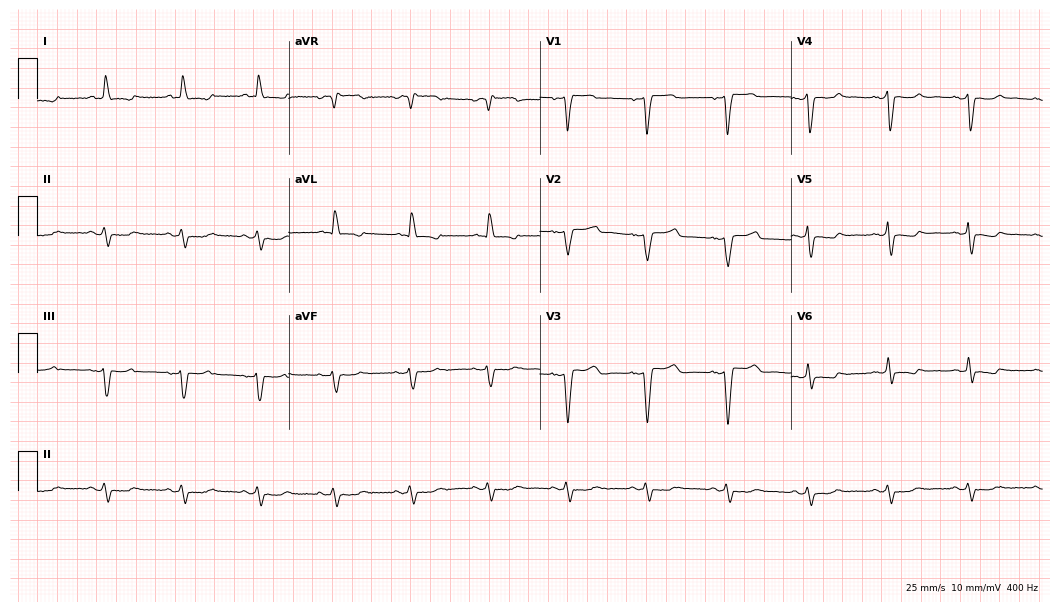
12-lead ECG (10.2-second recording at 400 Hz) from a female patient, 70 years old. Screened for six findings — first-degree AV block, right bundle branch block, left bundle branch block, sinus bradycardia, atrial fibrillation, sinus tachycardia — none is recorded.